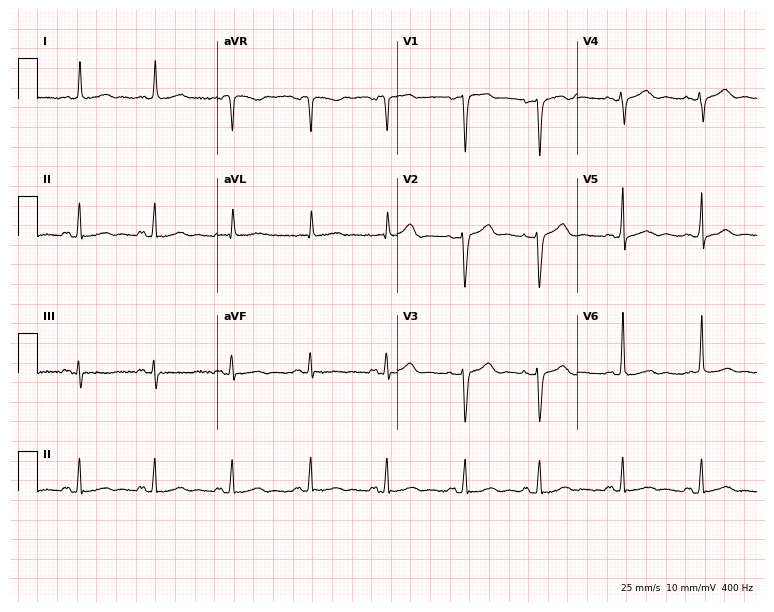
Electrocardiogram (7.3-second recording at 400 Hz), a female, 69 years old. Of the six screened findings (first-degree AV block, right bundle branch block (RBBB), left bundle branch block (LBBB), sinus bradycardia, atrial fibrillation (AF), sinus tachycardia), none is recorded. Only these six findings were labelled.